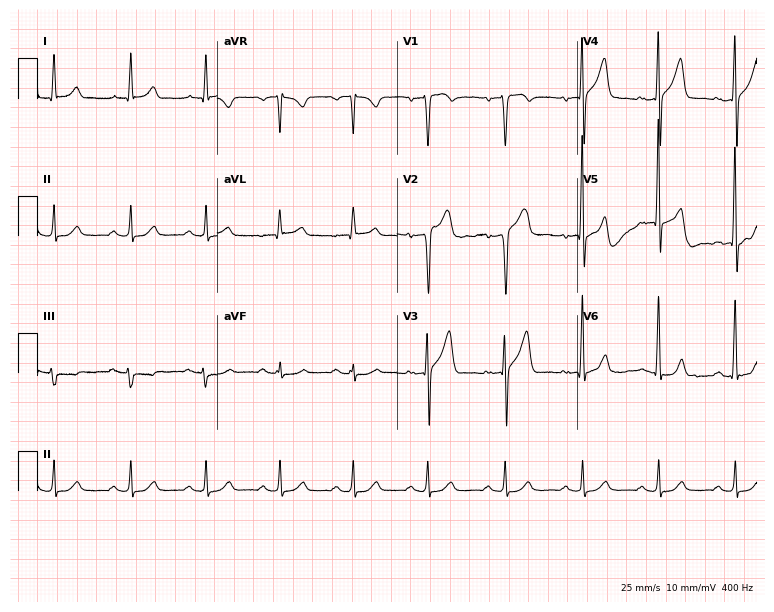
ECG — a 62-year-old man. Screened for six findings — first-degree AV block, right bundle branch block (RBBB), left bundle branch block (LBBB), sinus bradycardia, atrial fibrillation (AF), sinus tachycardia — none is recorded. Other findings, if any, are not listed.